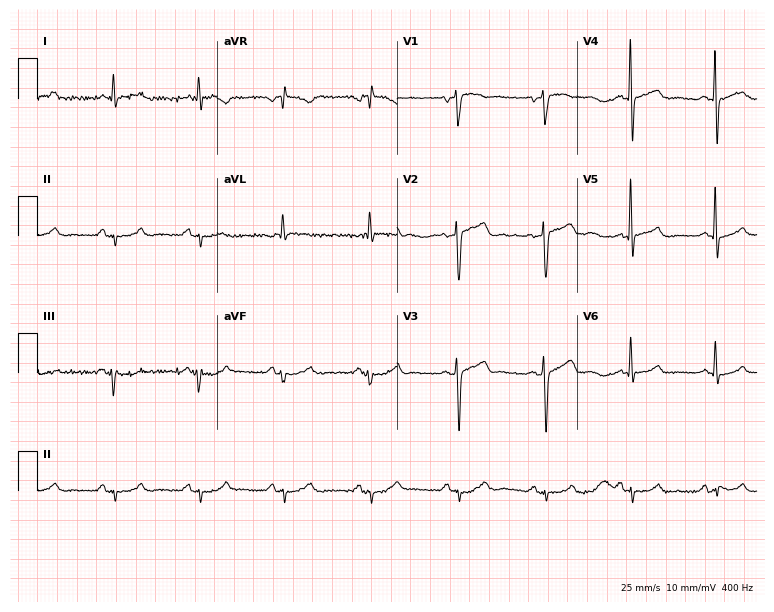
Standard 12-lead ECG recorded from a 59-year-old male (7.3-second recording at 400 Hz). None of these six findings is recorded: first-degree AV block, right bundle branch block, left bundle branch block, sinus bradycardia, atrial fibrillation, sinus tachycardia.